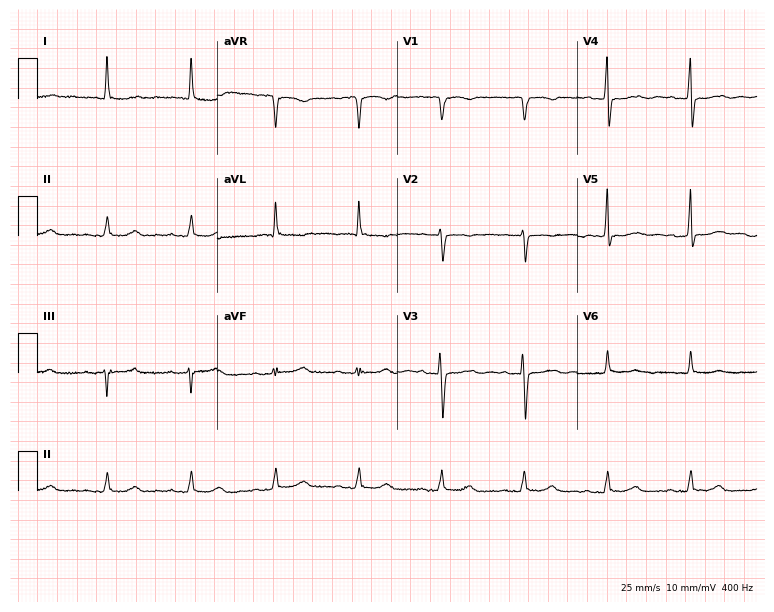
12-lead ECG from a female, 77 years old. No first-degree AV block, right bundle branch block, left bundle branch block, sinus bradycardia, atrial fibrillation or sinus tachycardia recorded for this tracing.